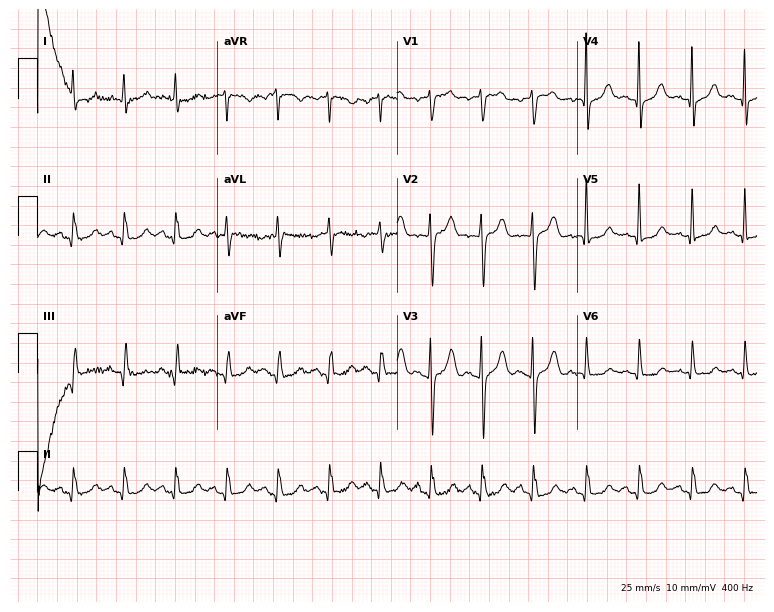
12-lead ECG from a woman, 68 years old. Screened for six findings — first-degree AV block, right bundle branch block (RBBB), left bundle branch block (LBBB), sinus bradycardia, atrial fibrillation (AF), sinus tachycardia — none is recorded.